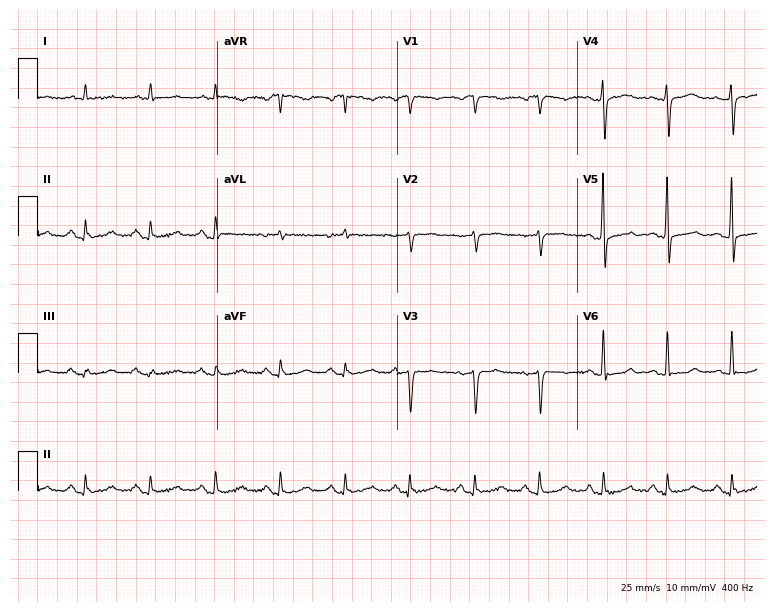
12-lead ECG (7.3-second recording at 400 Hz) from a male patient, 64 years old. Screened for six findings — first-degree AV block, right bundle branch block, left bundle branch block, sinus bradycardia, atrial fibrillation, sinus tachycardia — none is recorded.